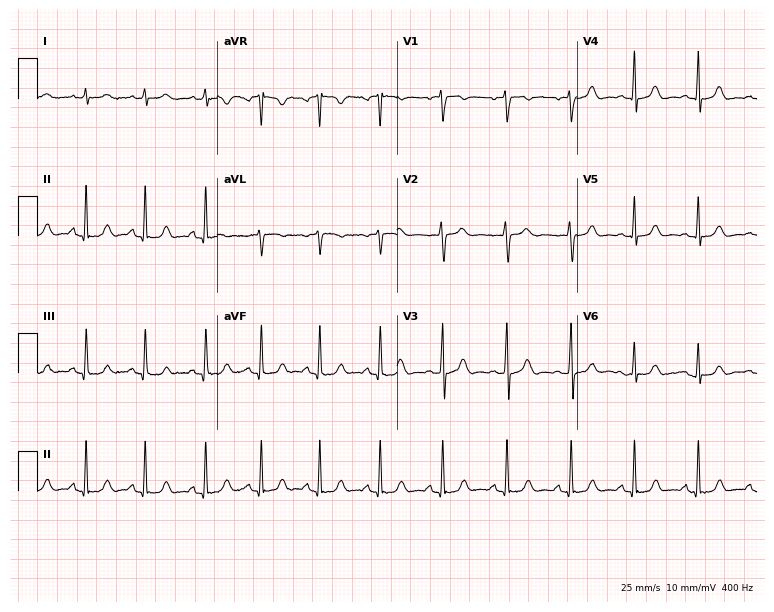
Electrocardiogram, a female, 18 years old. Overall reading on record: normal ECG.